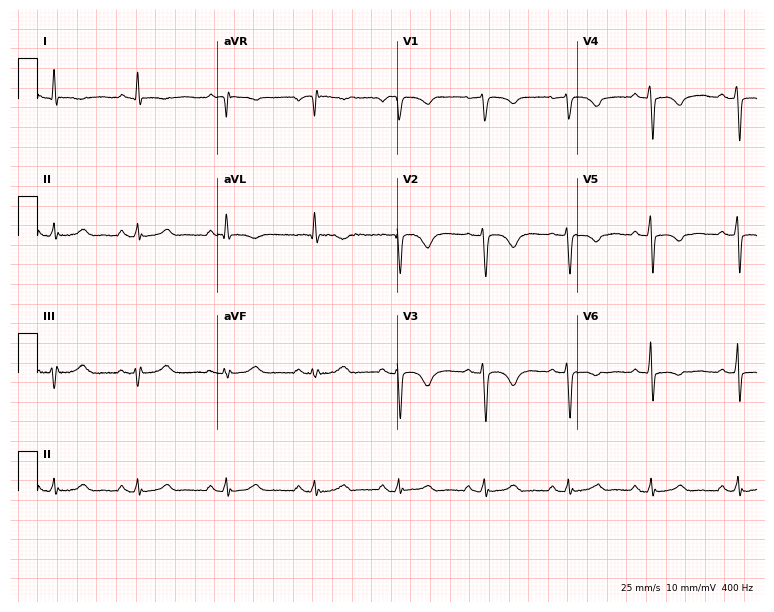
Electrocardiogram (7.3-second recording at 400 Hz), a woman, 47 years old. Of the six screened findings (first-degree AV block, right bundle branch block, left bundle branch block, sinus bradycardia, atrial fibrillation, sinus tachycardia), none is recorded. Other findings, if any, are not listed.